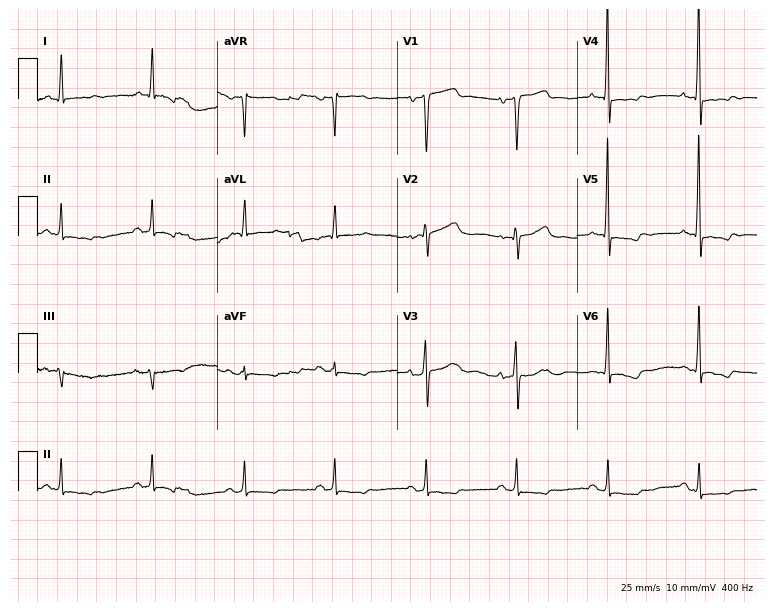
Electrocardiogram (7.3-second recording at 400 Hz), a male, 82 years old. Overall reading on record: normal ECG.